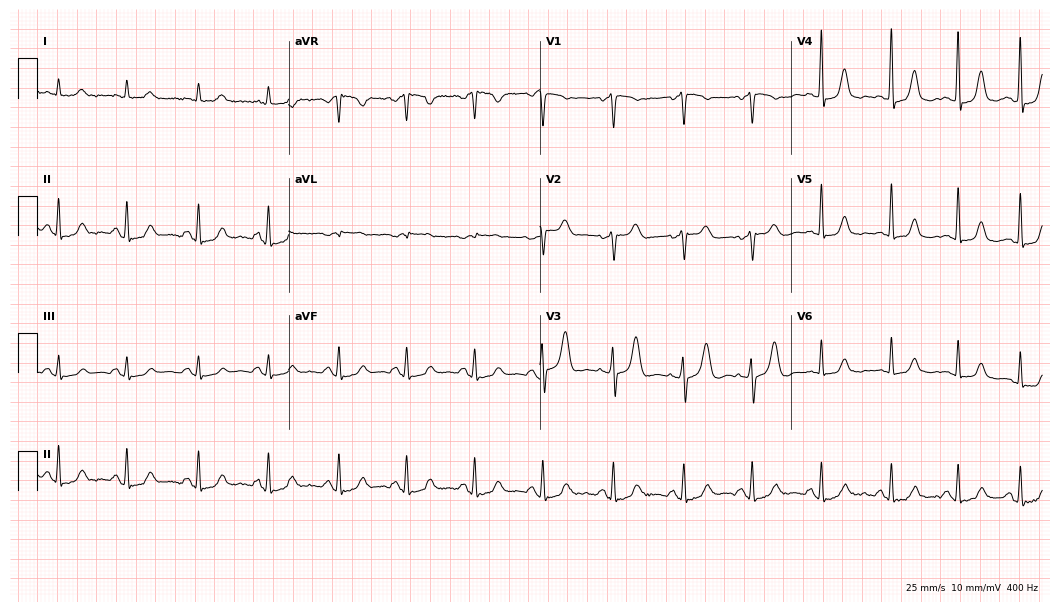
Resting 12-lead electrocardiogram. Patient: a male, 66 years old. Read as a normal ECG.